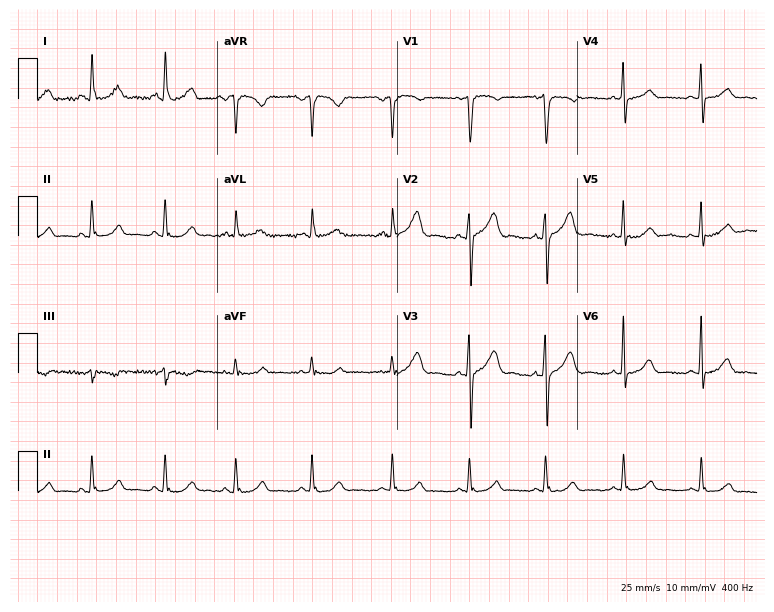
12-lead ECG from a female patient, 48 years old (7.3-second recording at 400 Hz). Recorded interpretation: within normal limits.